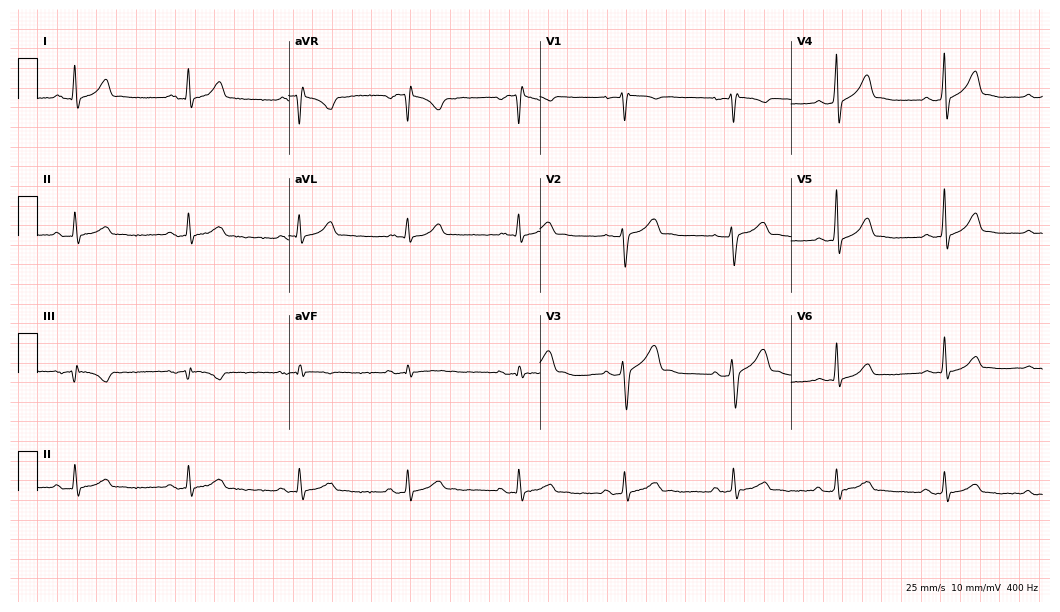
12-lead ECG from a 32-year-old male (10.2-second recording at 400 Hz). No first-degree AV block, right bundle branch block, left bundle branch block, sinus bradycardia, atrial fibrillation or sinus tachycardia recorded for this tracing.